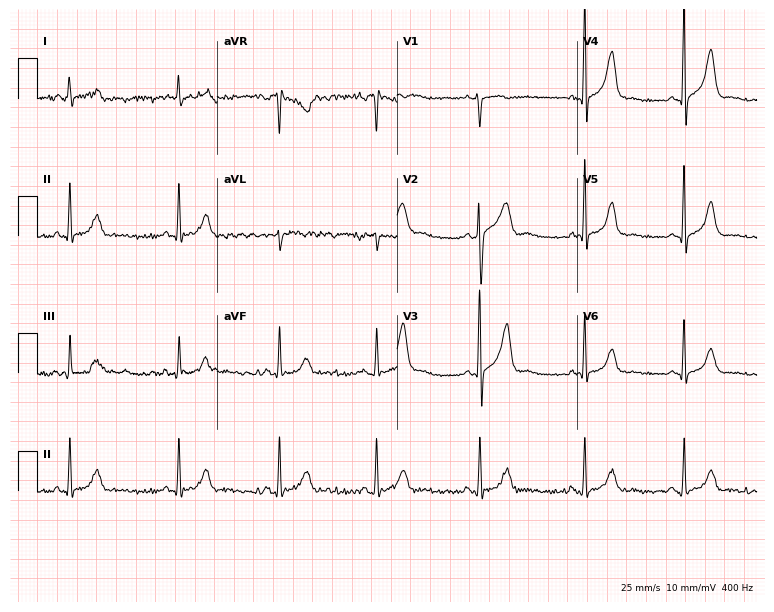
ECG (7.3-second recording at 400 Hz) — a male, 29 years old. Screened for six findings — first-degree AV block, right bundle branch block (RBBB), left bundle branch block (LBBB), sinus bradycardia, atrial fibrillation (AF), sinus tachycardia — none is recorded.